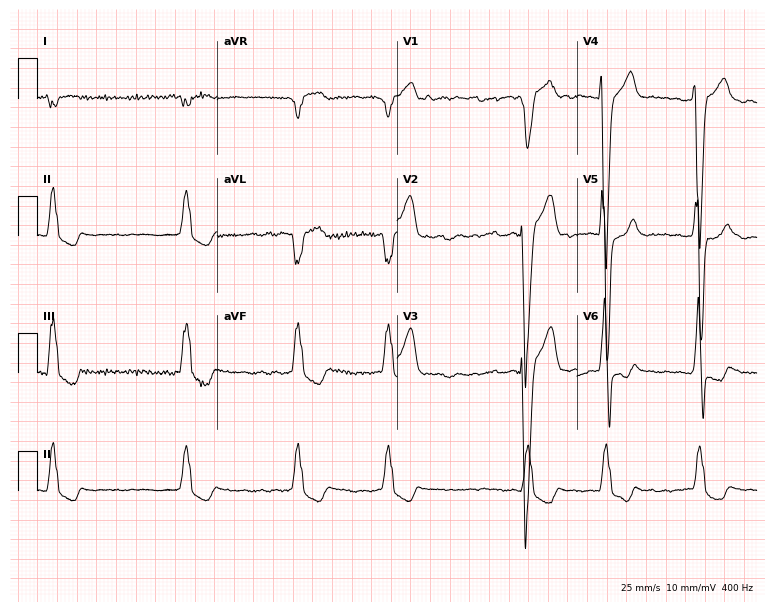
Electrocardiogram (7.3-second recording at 400 Hz), a 73-year-old female patient. Interpretation includes left bundle branch block (LBBB), atrial fibrillation (AF).